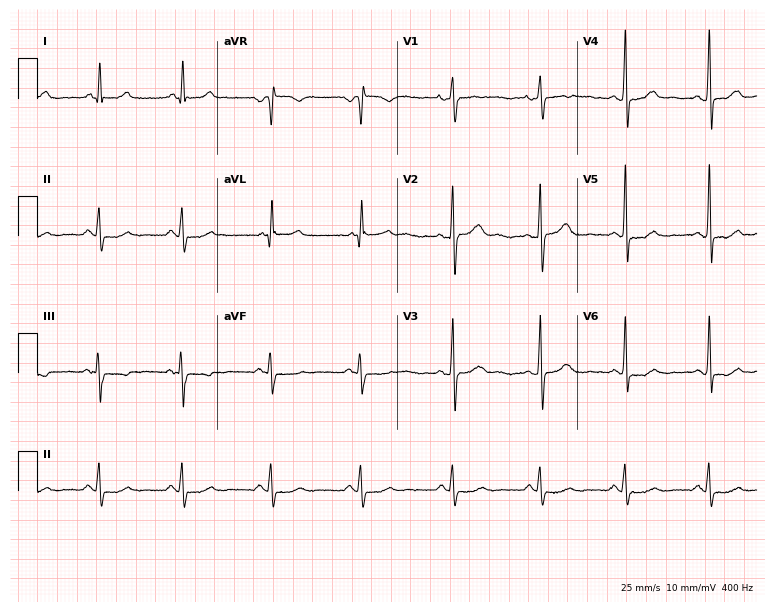
ECG — a female patient, 47 years old. Screened for six findings — first-degree AV block, right bundle branch block (RBBB), left bundle branch block (LBBB), sinus bradycardia, atrial fibrillation (AF), sinus tachycardia — none is recorded.